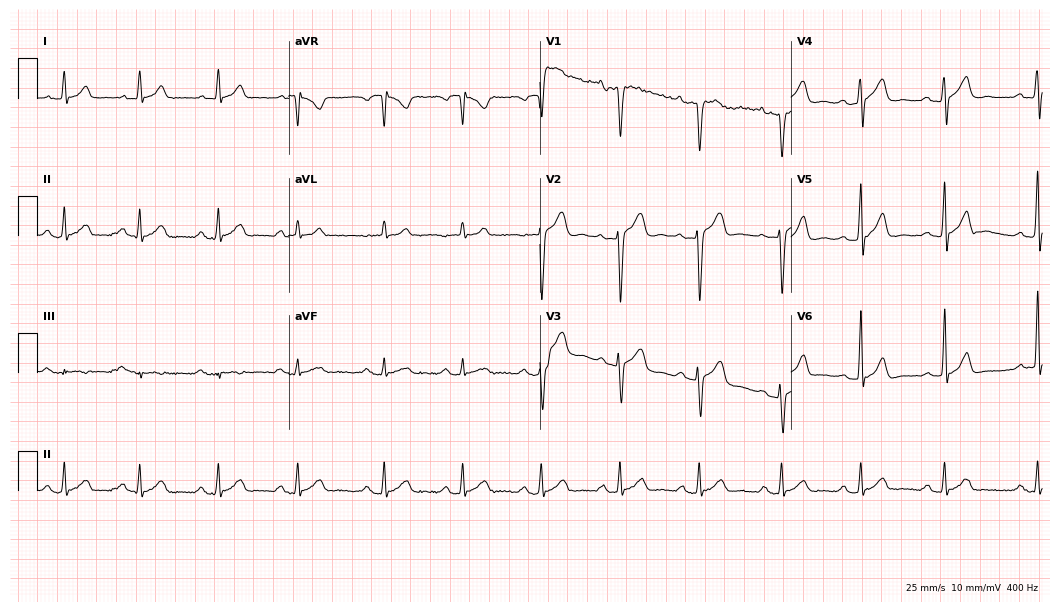
Resting 12-lead electrocardiogram. Patient: a 23-year-old male. Read as a normal ECG.